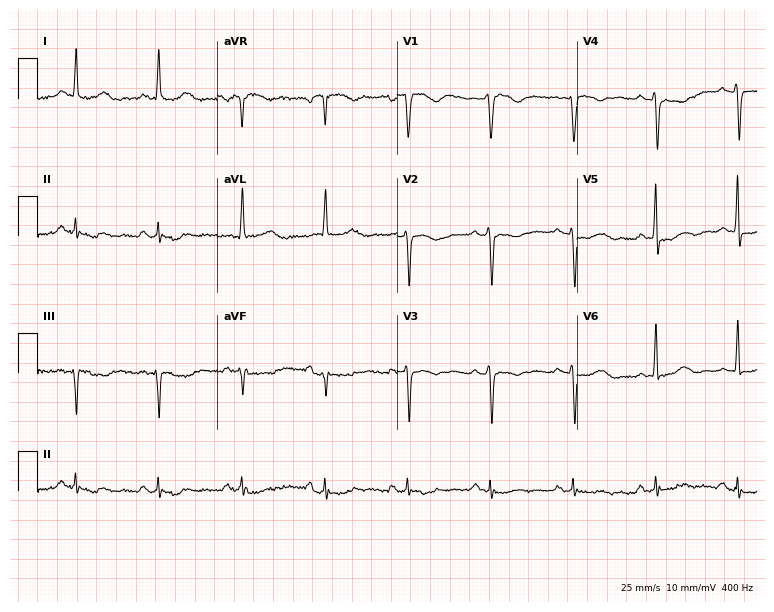
12-lead ECG from a male patient, 62 years old (7.3-second recording at 400 Hz). No first-degree AV block, right bundle branch block, left bundle branch block, sinus bradycardia, atrial fibrillation or sinus tachycardia recorded for this tracing. Only these six findings were labelled.